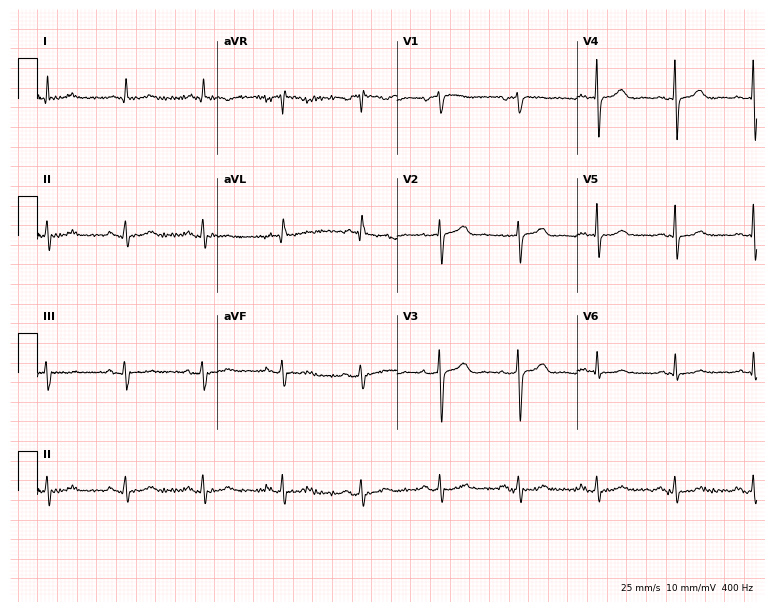
Electrocardiogram, an 85-year-old woman. Of the six screened findings (first-degree AV block, right bundle branch block (RBBB), left bundle branch block (LBBB), sinus bradycardia, atrial fibrillation (AF), sinus tachycardia), none is recorded. Other findings, if any, are not listed.